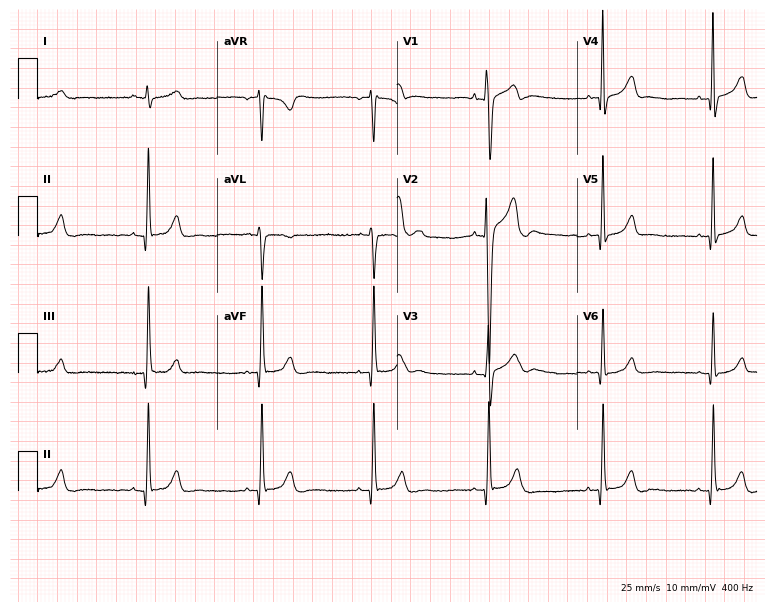
12-lead ECG from a 24-year-old man. No first-degree AV block, right bundle branch block, left bundle branch block, sinus bradycardia, atrial fibrillation or sinus tachycardia recorded for this tracing. Other findings, if any, are not listed.